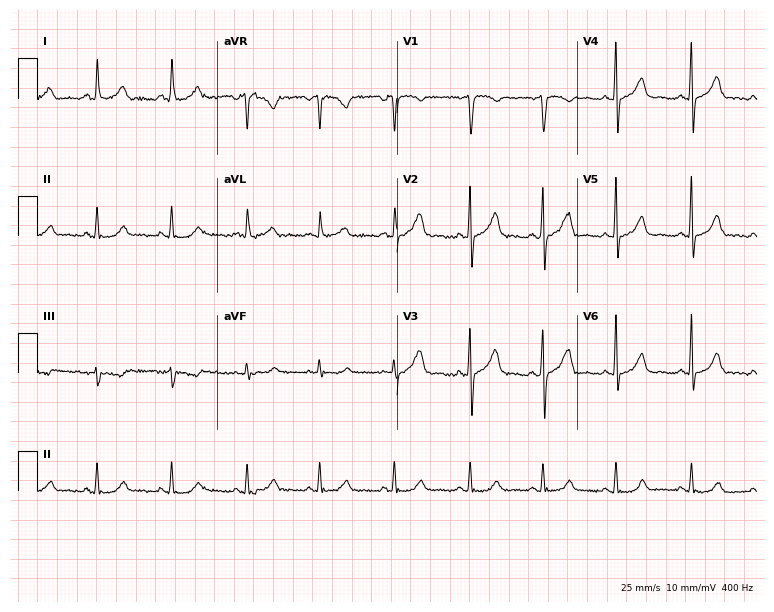
ECG (7.3-second recording at 400 Hz) — a 46-year-old female patient. Labelled as a normal ECG.